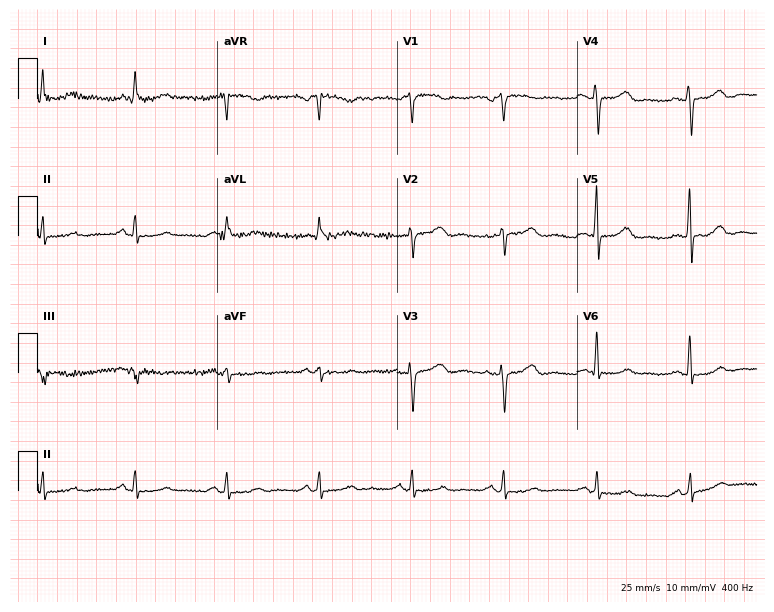
ECG — a 75-year-old man. Screened for six findings — first-degree AV block, right bundle branch block, left bundle branch block, sinus bradycardia, atrial fibrillation, sinus tachycardia — none is recorded. Other findings, if any, are not listed.